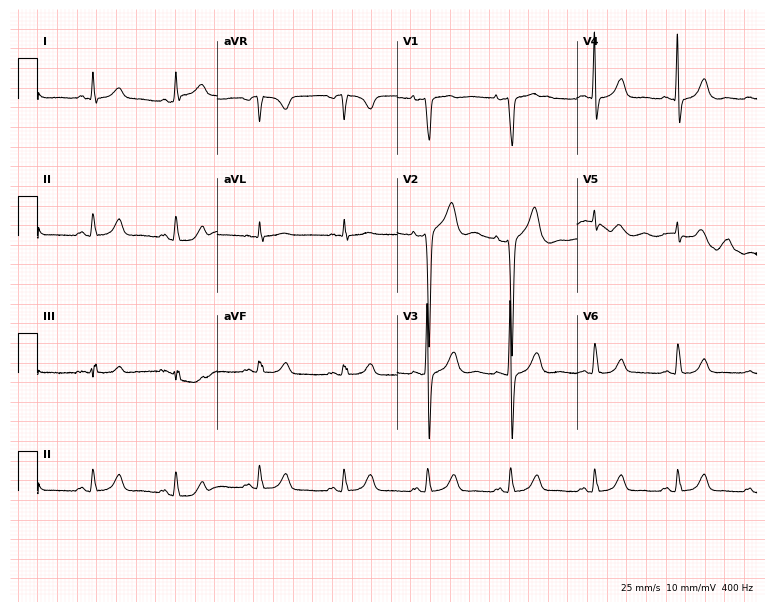
Resting 12-lead electrocardiogram (7.3-second recording at 400 Hz). Patient: a male, 38 years old. Read as a normal ECG.